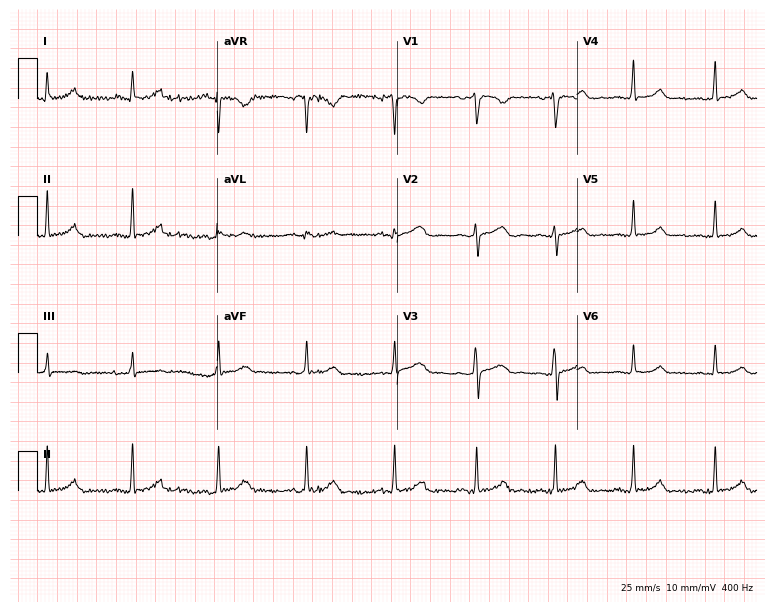
12-lead ECG from a 38-year-old woman (7.3-second recording at 400 Hz). Recorded interpretation: within normal limits.